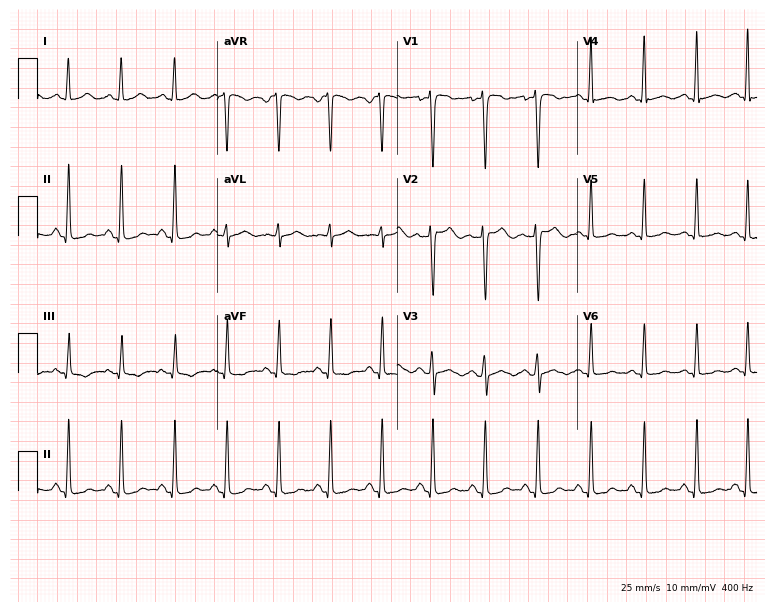
Resting 12-lead electrocardiogram (7.3-second recording at 400 Hz). Patient: a 31-year-old female. The tracing shows sinus tachycardia (a sinus rate of 100 beats per minute or more).